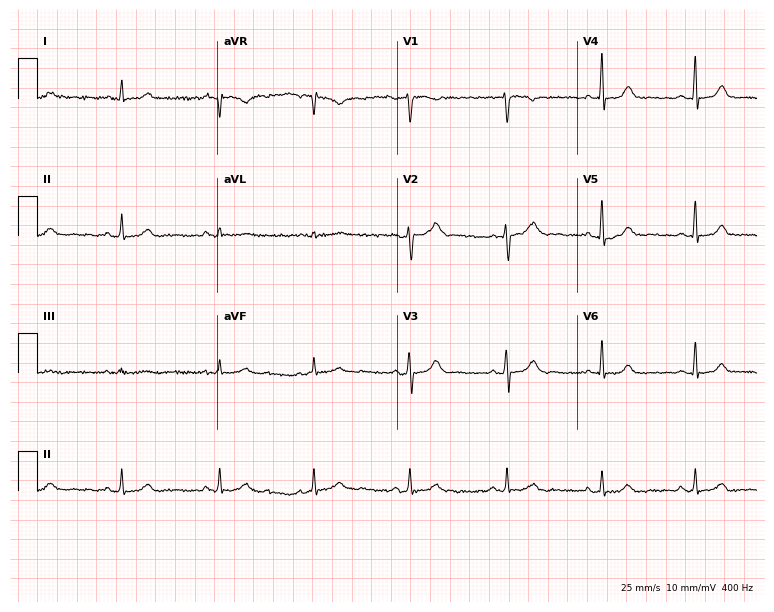
Electrocardiogram, a 41-year-old female. Of the six screened findings (first-degree AV block, right bundle branch block, left bundle branch block, sinus bradycardia, atrial fibrillation, sinus tachycardia), none is recorded. Other findings, if any, are not listed.